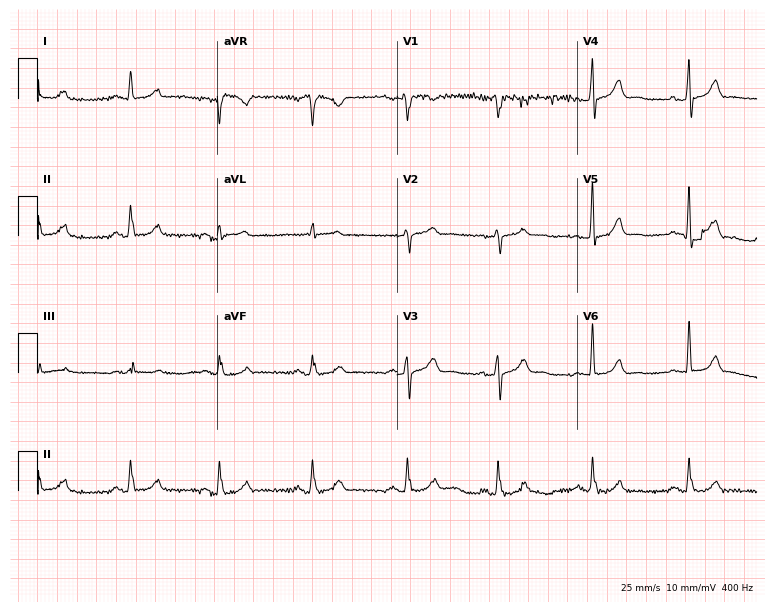
Standard 12-lead ECG recorded from a 68-year-old male. None of these six findings is recorded: first-degree AV block, right bundle branch block, left bundle branch block, sinus bradycardia, atrial fibrillation, sinus tachycardia. Findings outside these six are not listed.